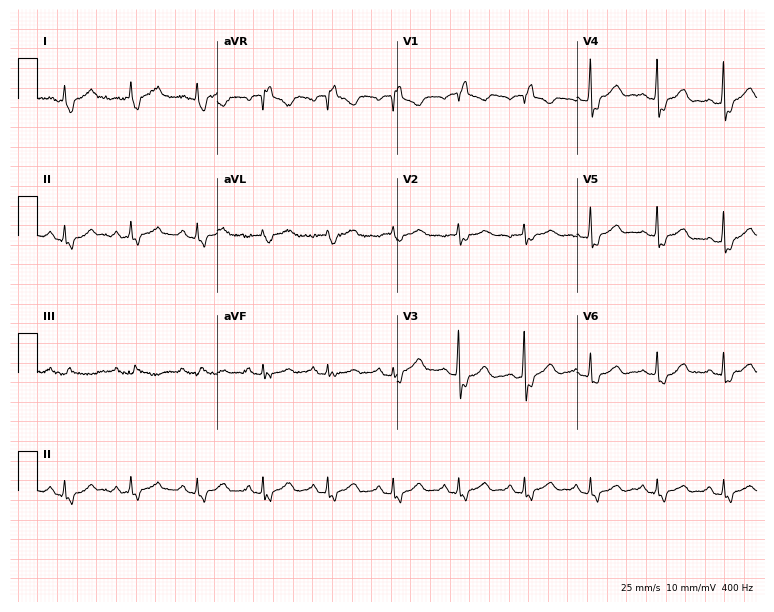
Resting 12-lead electrocardiogram (7.3-second recording at 400 Hz). Patient: a female, 77 years old. The tracing shows right bundle branch block.